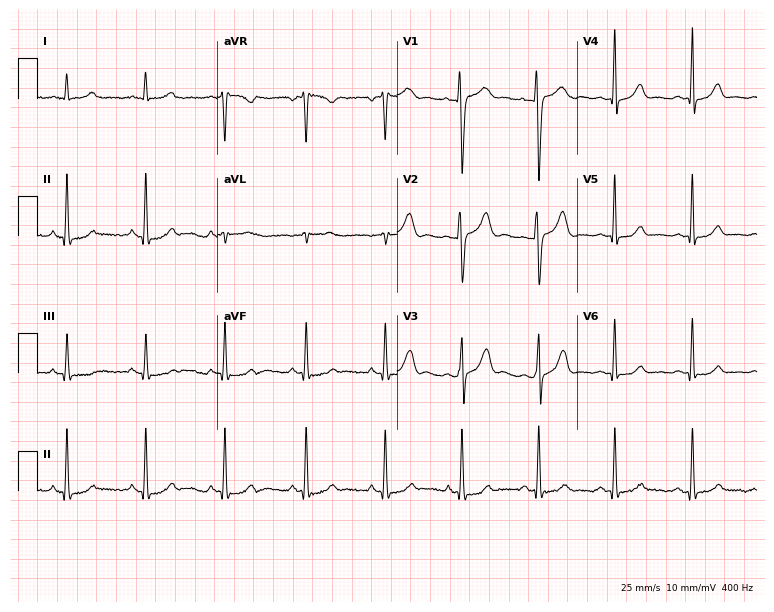
12-lead ECG from a female patient, 26 years old (7.3-second recording at 400 Hz). Recorded interpretation: within normal limits.